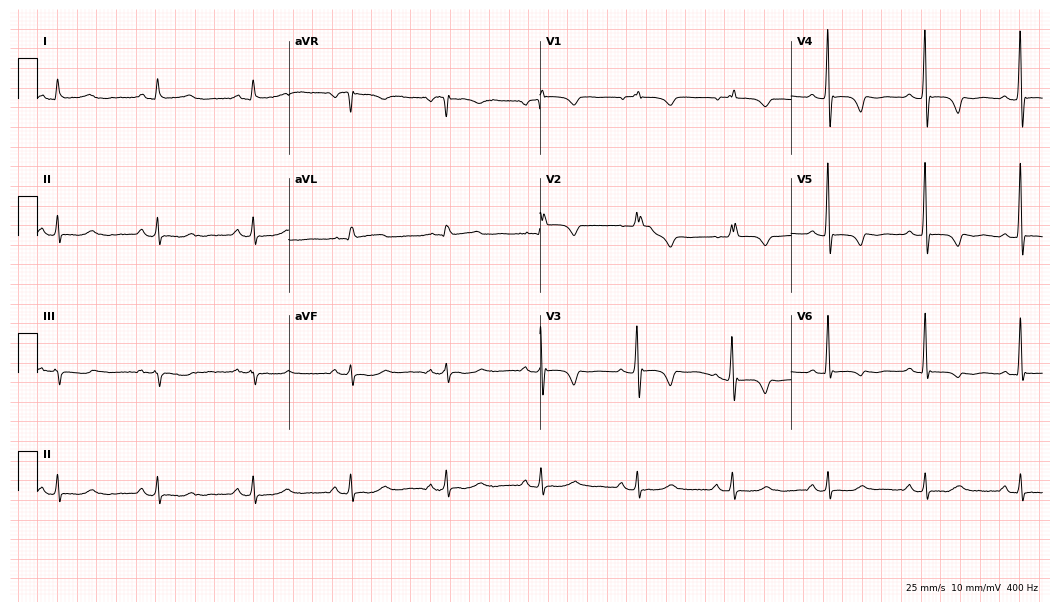
12-lead ECG from a female patient, 75 years old (10.2-second recording at 400 Hz). No first-degree AV block, right bundle branch block (RBBB), left bundle branch block (LBBB), sinus bradycardia, atrial fibrillation (AF) or sinus tachycardia recorded for this tracing.